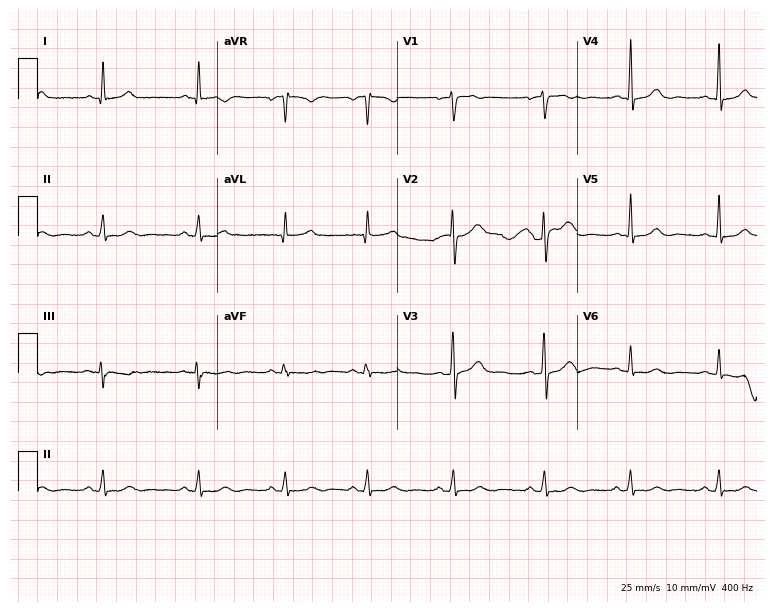
12-lead ECG from a 30-year-old female patient. Recorded interpretation: within normal limits.